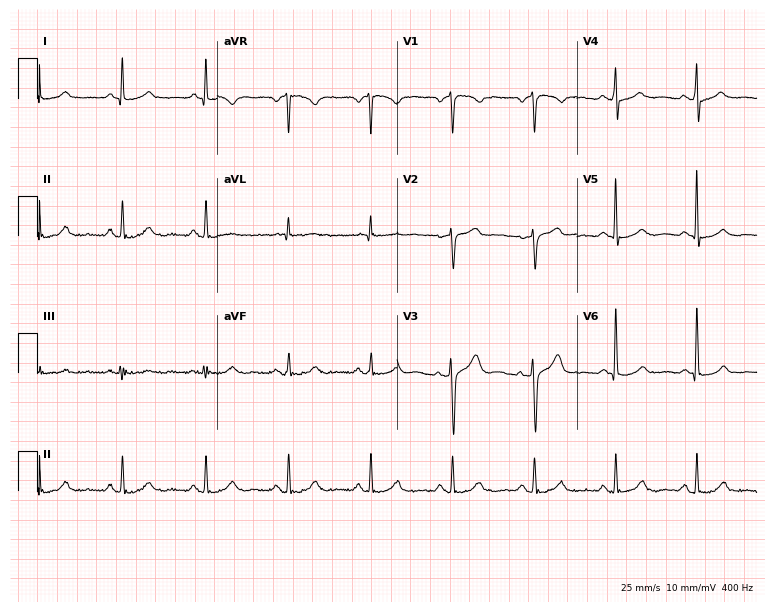
12-lead ECG from a woman, 59 years old. Screened for six findings — first-degree AV block, right bundle branch block (RBBB), left bundle branch block (LBBB), sinus bradycardia, atrial fibrillation (AF), sinus tachycardia — none is recorded.